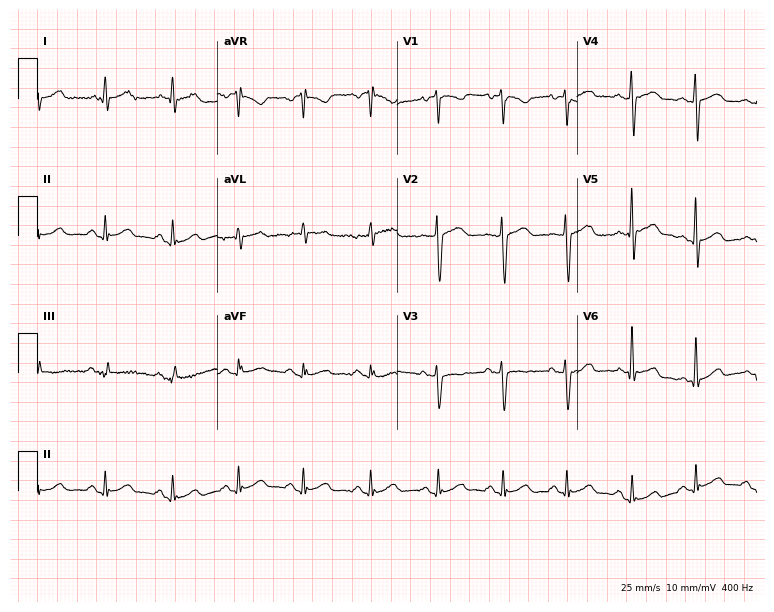
Electrocardiogram (7.3-second recording at 400 Hz), a male patient, 48 years old. Overall reading on record: normal ECG.